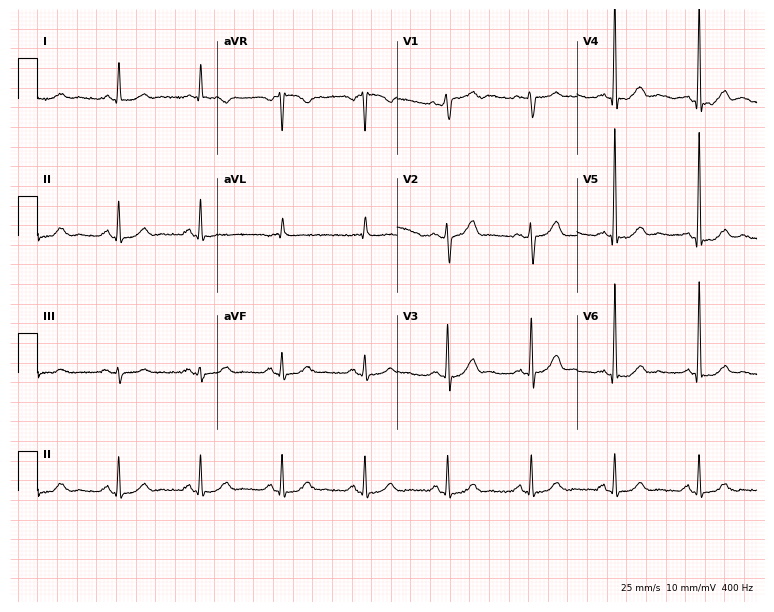
12-lead ECG from a male patient, 59 years old. Recorded interpretation: within normal limits.